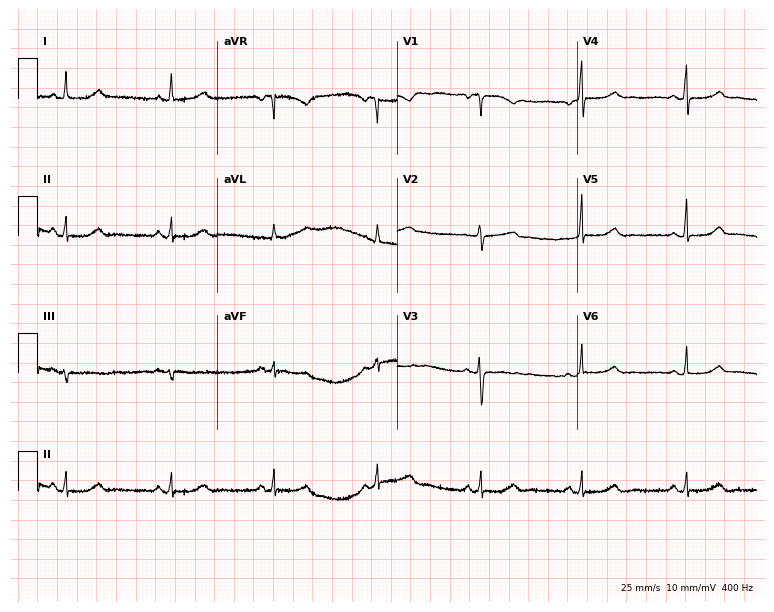
Resting 12-lead electrocardiogram (7.3-second recording at 400 Hz). Patient: a 57-year-old woman. Read as a normal ECG.